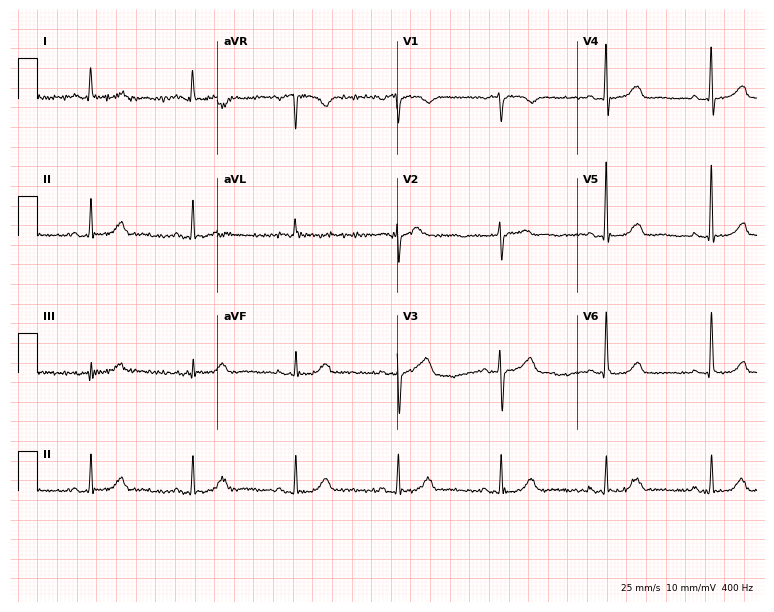
Resting 12-lead electrocardiogram. Patient: an 83-year-old man. Read as a normal ECG.